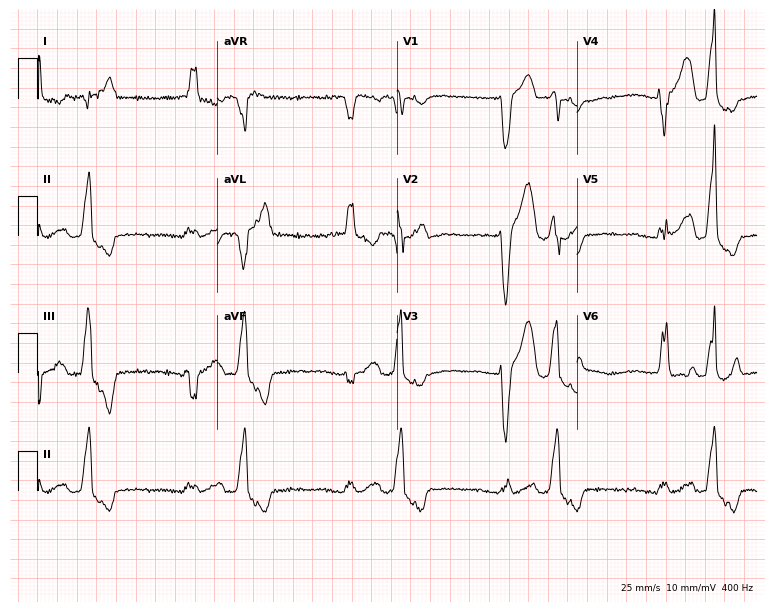
12-lead ECG from a 51-year-old male patient. Screened for six findings — first-degree AV block, right bundle branch block (RBBB), left bundle branch block (LBBB), sinus bradycardia, atrial fibrillation (AF), sinus tachycardia — none is recorded. Findings outside these six are not listed.